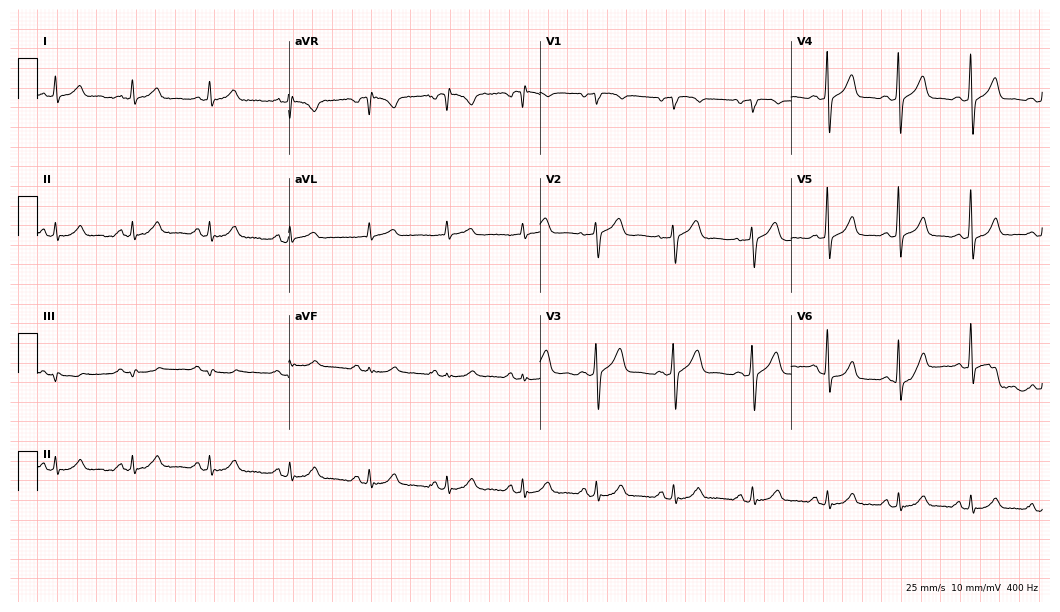
12-lead ECG from a 60-year-old male (10.2-second recording at 400 Hz). Recorded interpretation: within normal limits.